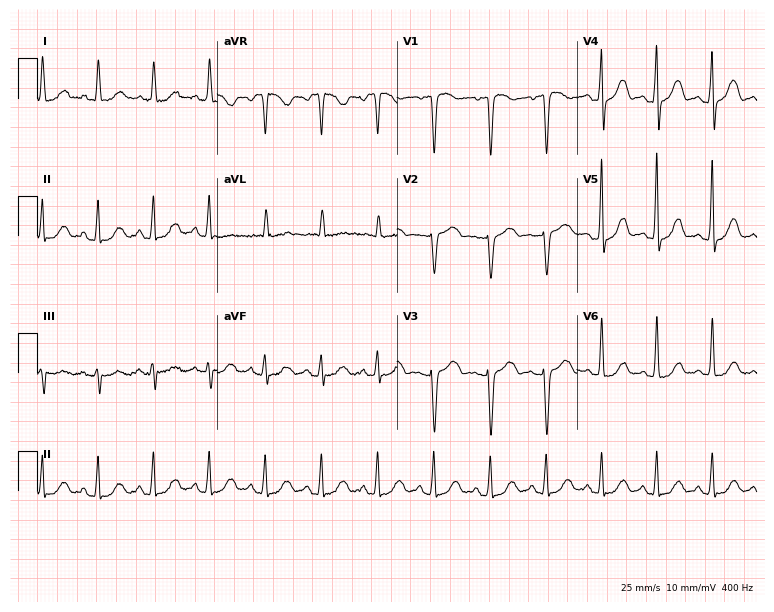
Electrocardiogram, a 64-year-old female. Interpretation includes sinus tachycardia (a sinus rate of 100 beats per minute or more).